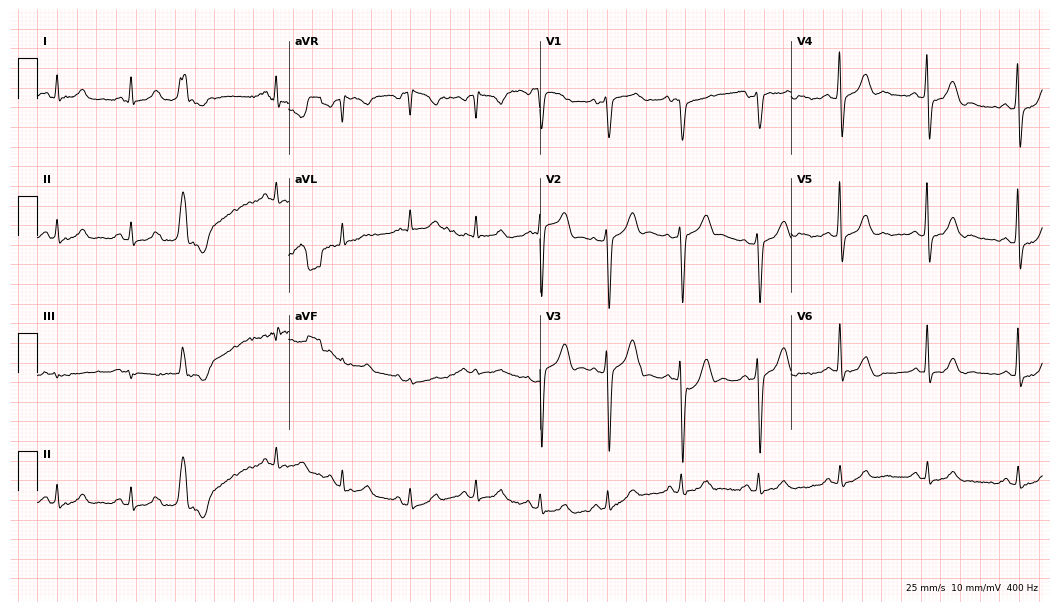
12-lead ECG from a male patient, 49 years old. No first-degree AV block, right bundle branch block, left bundle branch block, sinus bradycardia, atrial fibrillation or sinus tachycardia recorded for this tracing.